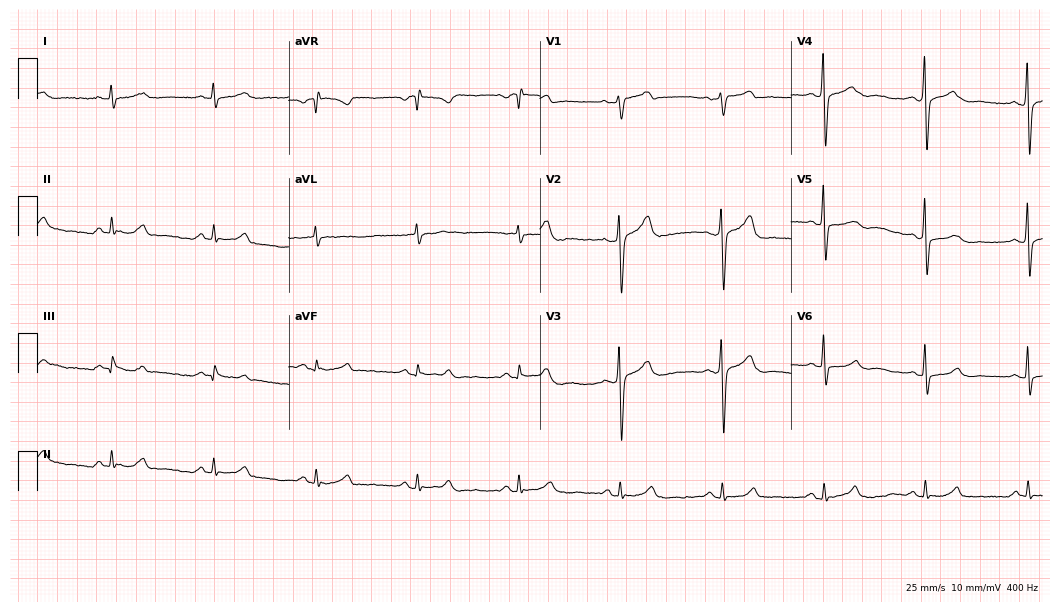
Electrocardiogram, a 53-year-old man. Of the six screened findings (first-degree AV block, right bundle branch block, left bundle branch block, sinus bradycardia, atrial fibrillation, sinus tachycardia), none is recorded.